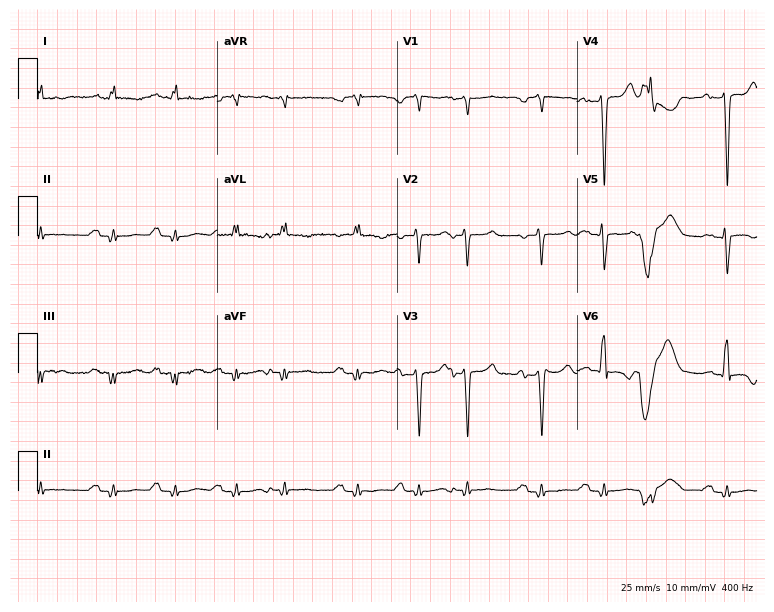
Electrocardiogram (7.3-second recording at 400 Hz), a 60-year-old male. Of the six screened findings (first-degree AV block, right bundle branch block, left bundle branch block, sinus bradycardia, atrial fibrillation, sinus tachycardia), none is recorded. Findings outside these six are not listed.